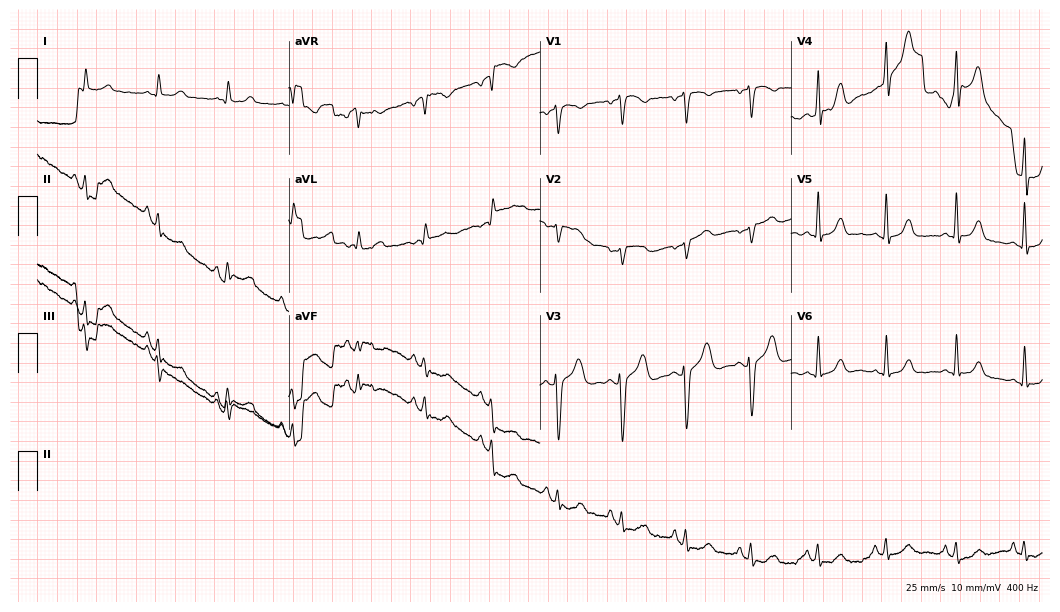
12-lead ECG from a 50-year-old female patient. Recorded interpretation: within normal limits.